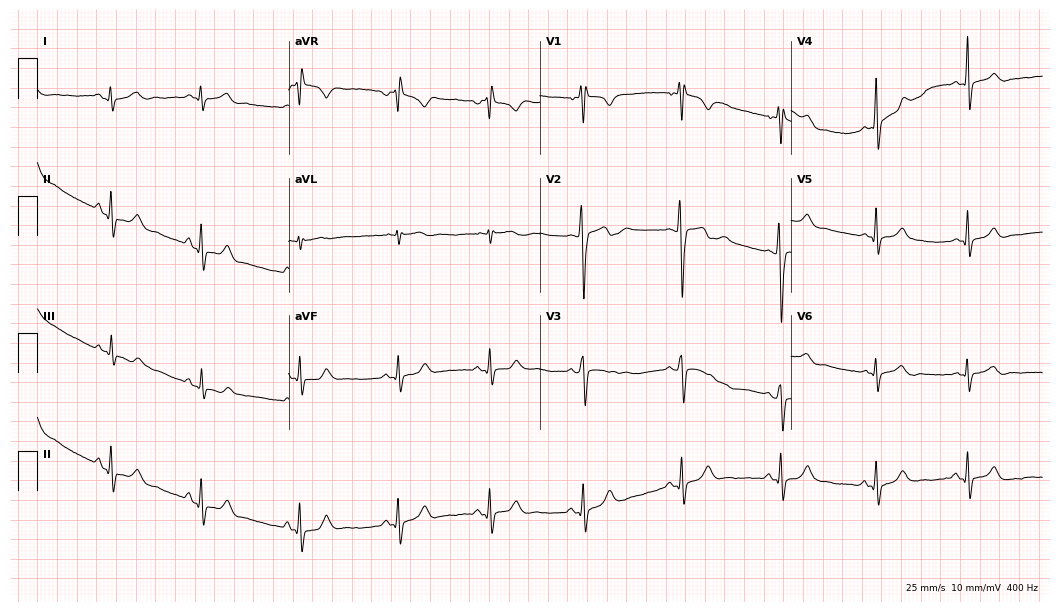
Electrocardiogram (10.2-second recording at 400 Hz), a male patient, 17 years old. Overall reading on record: normal ECG.